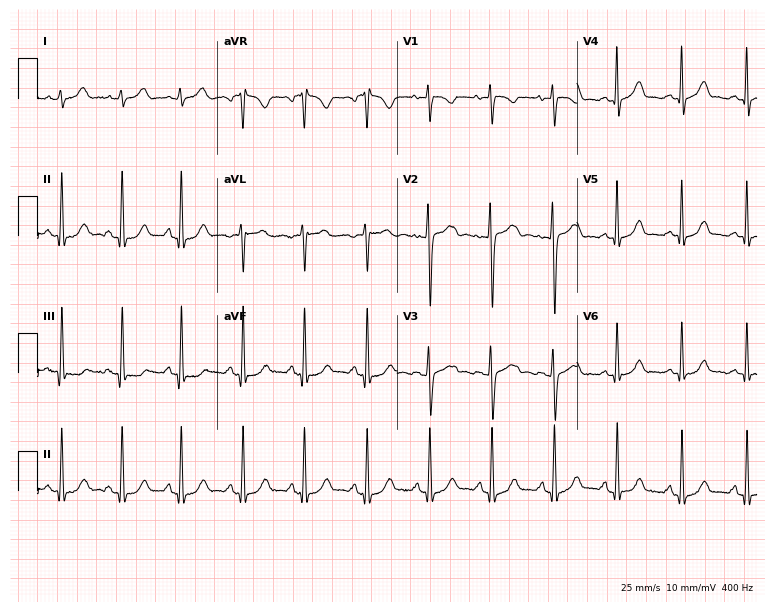
Resting 12-lead electrocardiogram (7.3-second recording at 400 Hz). Patient: a female, 24 years old. None of these six findings is recorded: first-degree AV block, right bundle branch block, left bundle branch block, sinus bradycardia, atrial fibrillation, sinus tachycardia.